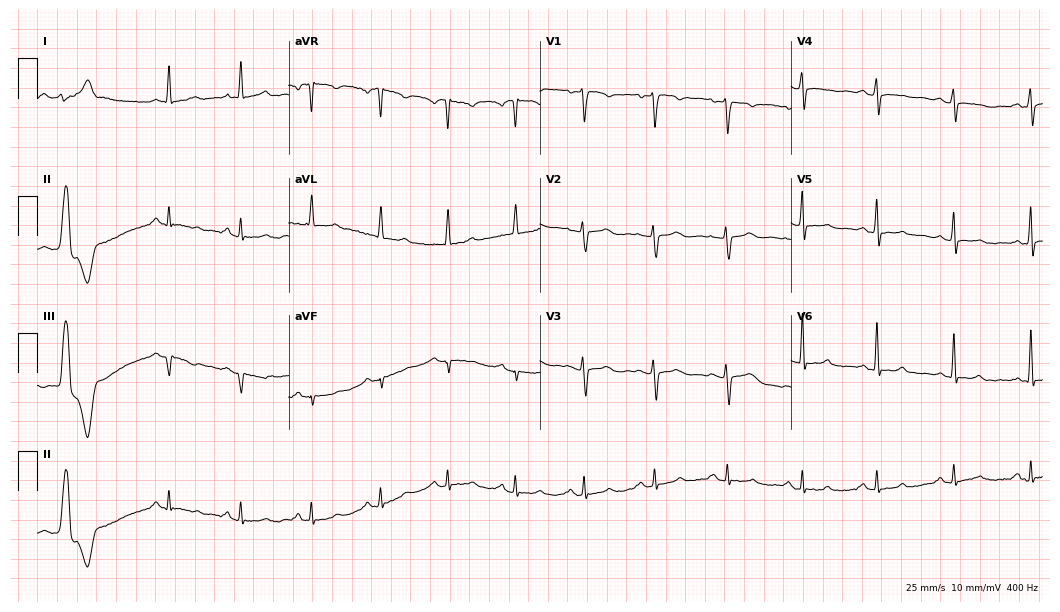
Electrocardiogram (10.2-second recording at 400 Hz), a female patient, 42 years old. Of the six screened findings (first-degree AV block, right bundle branch block (RBBB), left bundle branch block (LBBB), sinus bradycardia, atrial fibrillation (AF), sinus tachycardia), none is recorded. Findings outside these six are not listed.